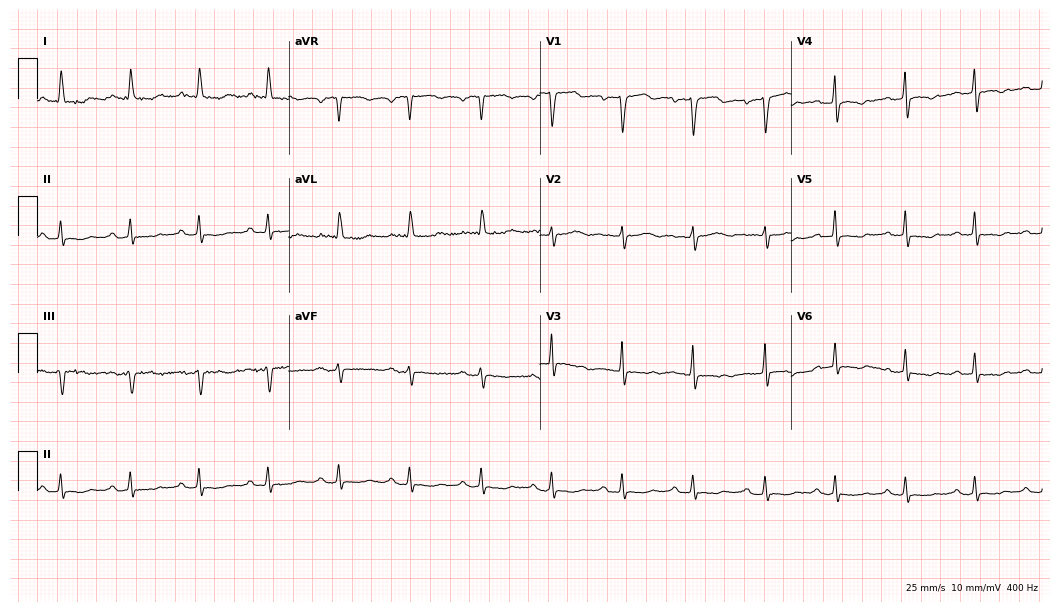
Resting 12-lead electrocardiogram. Patient: a 72-year-old woman. None of these six findings is recorded: first-degree AV block, right bundle branch block, left bundle branch block, sinus bradycardia, atrial fibrillation, sinus tachycardia. Only these six findings were labelled.